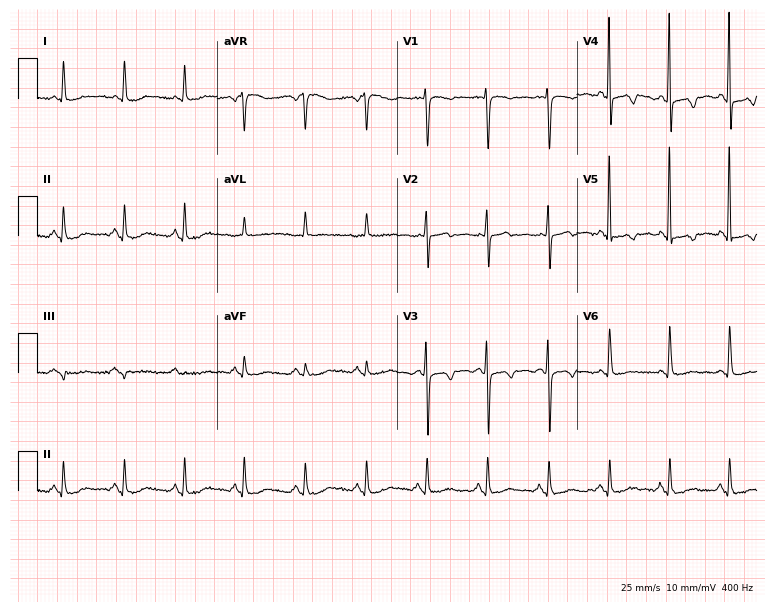
Electrocardiogram, a female patient, 68 years old. Of the six screened findings (first-degree AV block, right bundle branch block (RBBB), left bundle branch block (LBBB), sinus bradycardia, atrial fibrillation (AF), sinus tachycardia), none is recorded. Other findings, if any, are not listed.